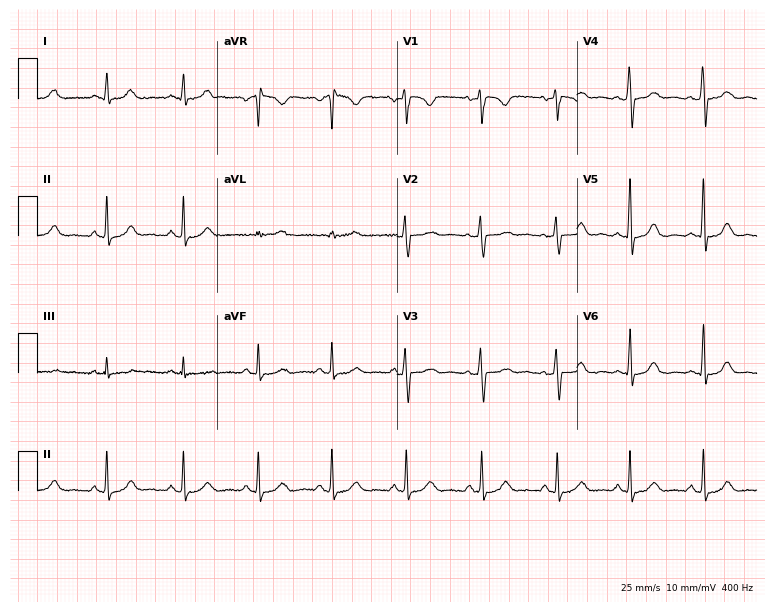
12-lead ECG from a female, 33 years old. Recorded interpretation: within normal limits.